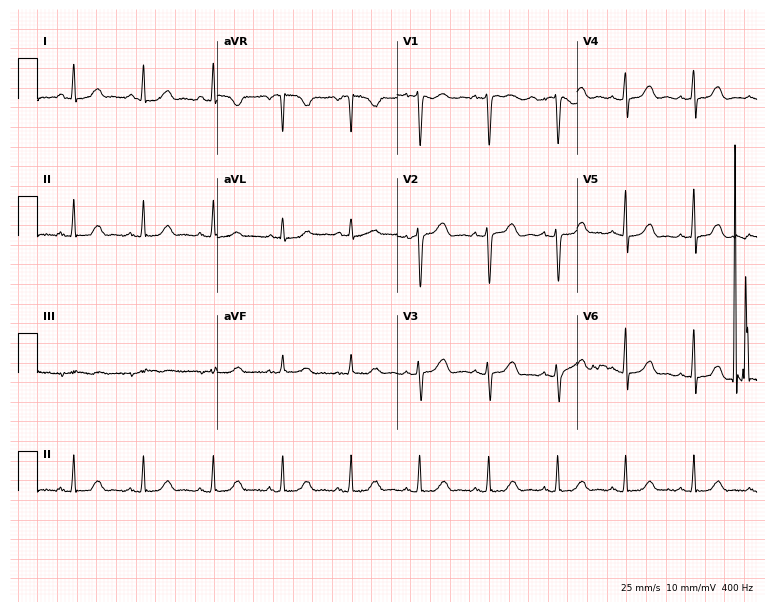
12-lead ECG from a 43-year-old female. Recorded interpretation: within normal limits.